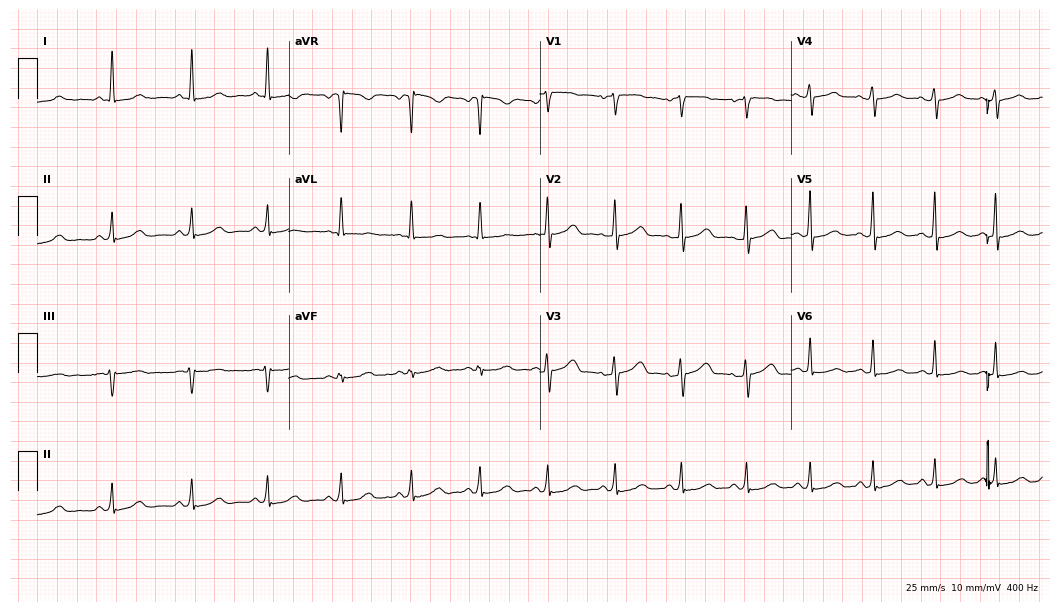
Electrocardiogram (10.2-second recording at 400 Hz), a 41-year-old female. Overall reading on record: normal ECG.